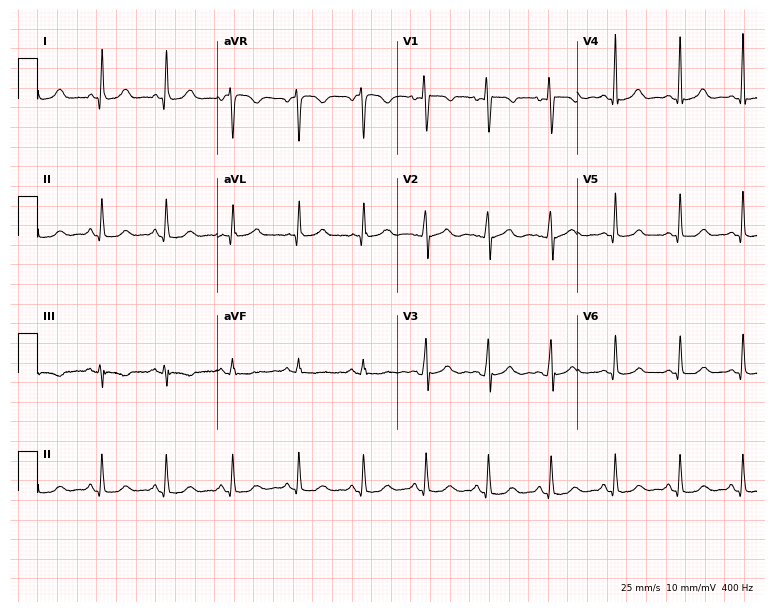
Resting 12-lead electrocardiogram (7.3-second recording at 400 Hz). Patient: a 42-year-old woman. None of these six findings is recorded: first-degree AV block, right bundle branch block (RBBB), left bundle branch block (LBBB), sinus bradycardia, atrial fibrillation (AF), sinus tachycardia.